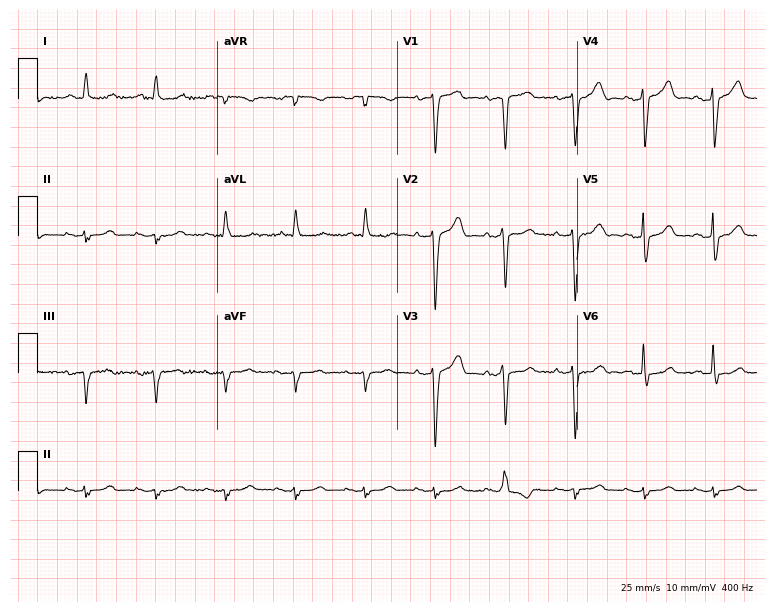
Electrocardiogram, a male, 86 years old. Of the six screened findings (first-degree AV block, right bundle branch block (RBBB), left bundle branch block (LBBB), sinus bradycardia, atrial fibrillation (AF), sinus tachycardia), none is recorded.